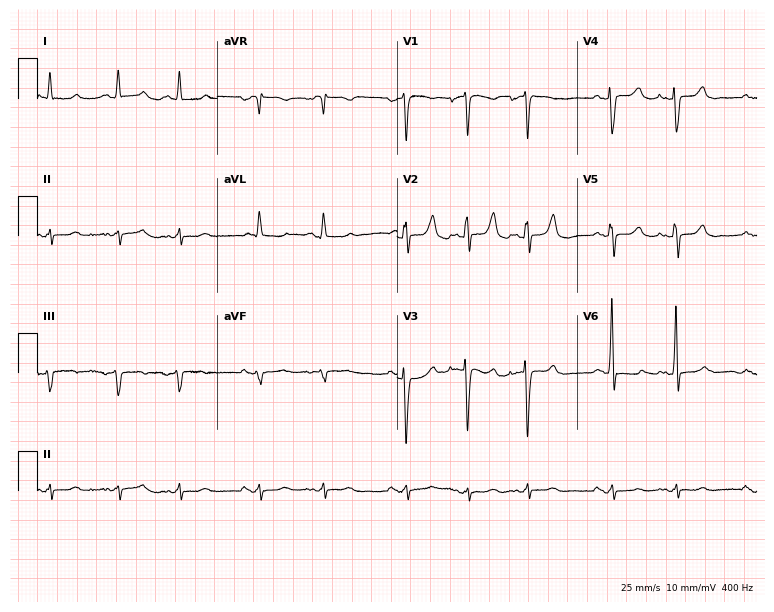
12-lead ECG (7.3-second recording at 400 Hz) from a female patient, 71 years old. Screened for six findings — first-degree AV block, right bundle branch block (RBBB), left bundle branch block (LBBB), sinus bradycardia, atrial fibrillation (AF), sinus tachycardia — none is recorded. Only these six findings were labelled.